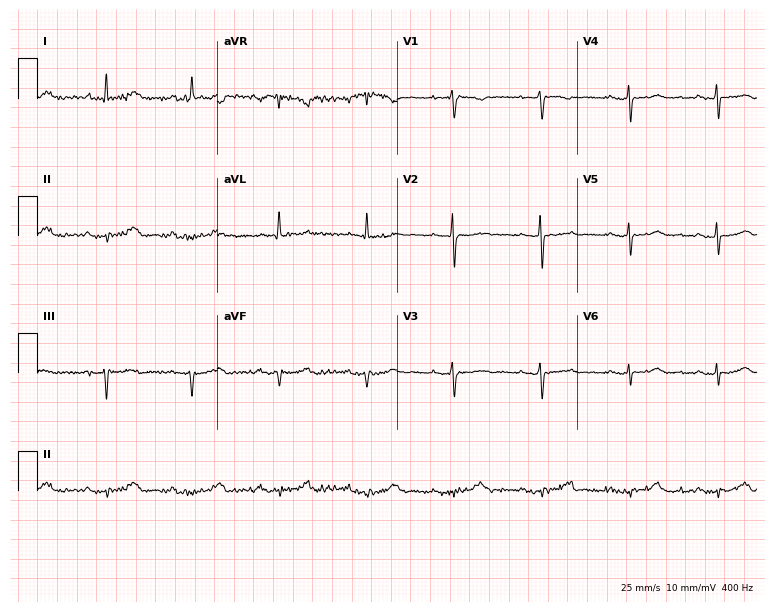
12-lead ECG (7.3-second recording at 400 Hz) from a female patient, 47 years old. Screened for six findings — first-degree AV block, right bundle branch block, left bundle branch block, sinus bradycardia, atrial fibrillation, sinus tachycardia — none is recorded. Other findings, if any, are not listed.